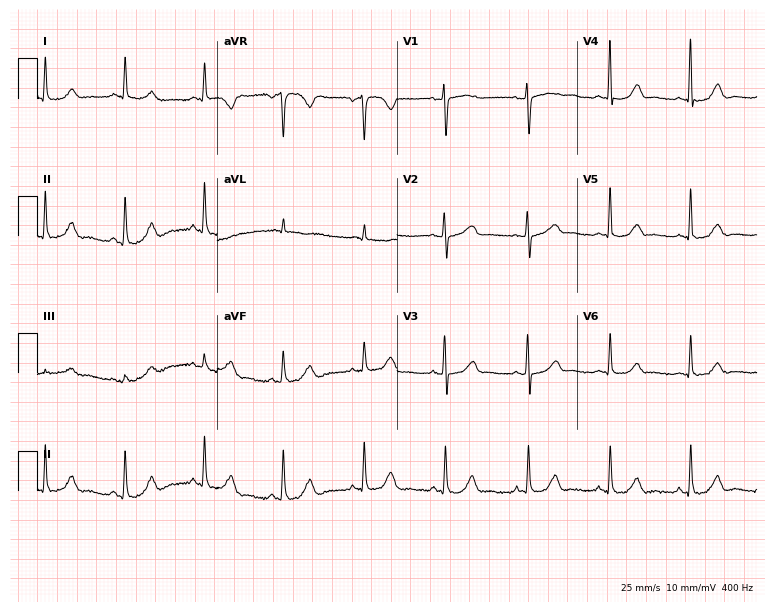
Standard 12-lead ECG recorded from a female patient, 63 years old. Read as a normal ECG.